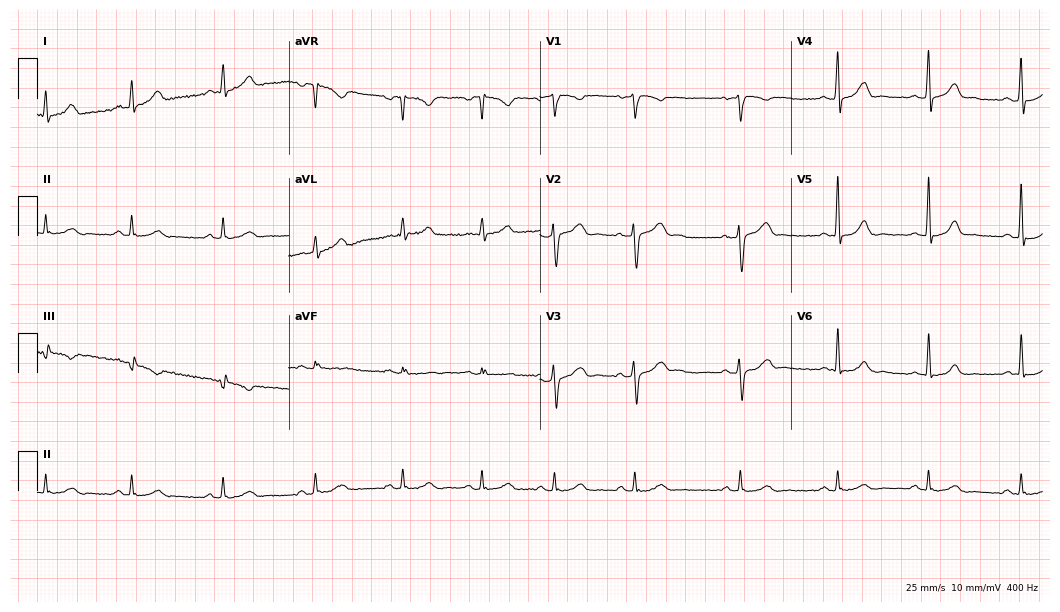
Resting 12-lead electrocardiogram (10.2-second recording at 400 Hz). Patient: a male, 40 years old. None of these six findings is recorded: first-degree AV block, right bundle branch block (RBBB), left bundle branch block (LBBB), sinus bradycardia, atrial fibrillation (AF), sinus tachycardia.